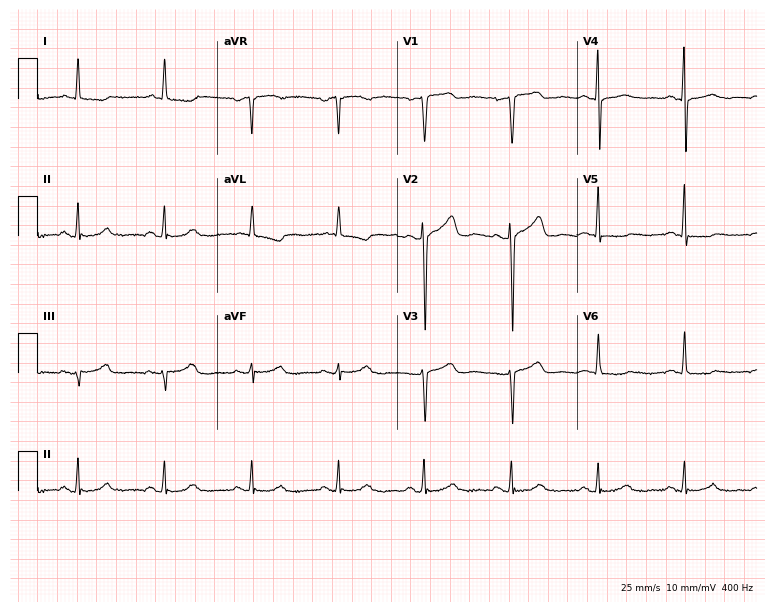
Electrocardiogram, a female, 58 years old. Of the six screened findings (first-degree AV block, right bundle branch block (RBBB), left bundle branch block (LBBB), sinus bradycardia, atrial fibrillation (AF), sinus tachycardia), none is recorded.